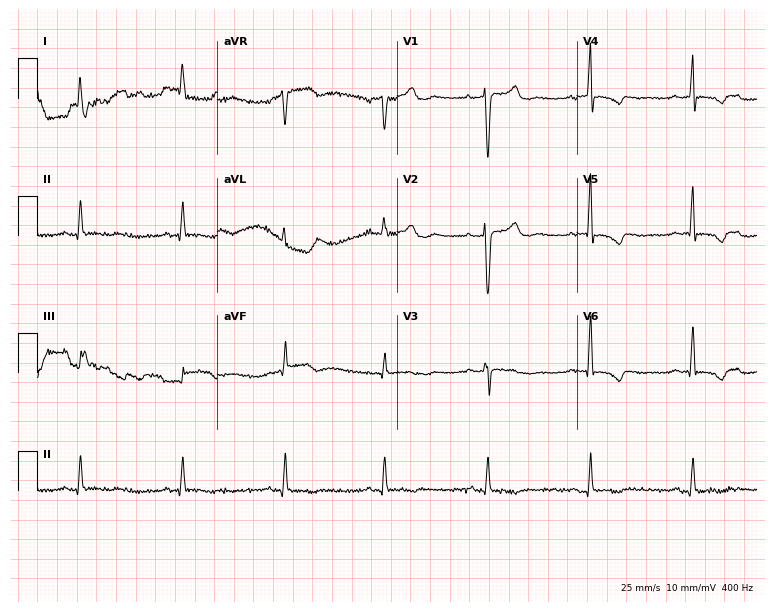
Resting 12-lead electrocardiogram. Patient: a 66-year-old woman. None of these six findings is recorded: first-degree AV block, right bundle branch block, left bundle branch block, sinus bradycardia, atrial fibrillation, sinus tachycardia.